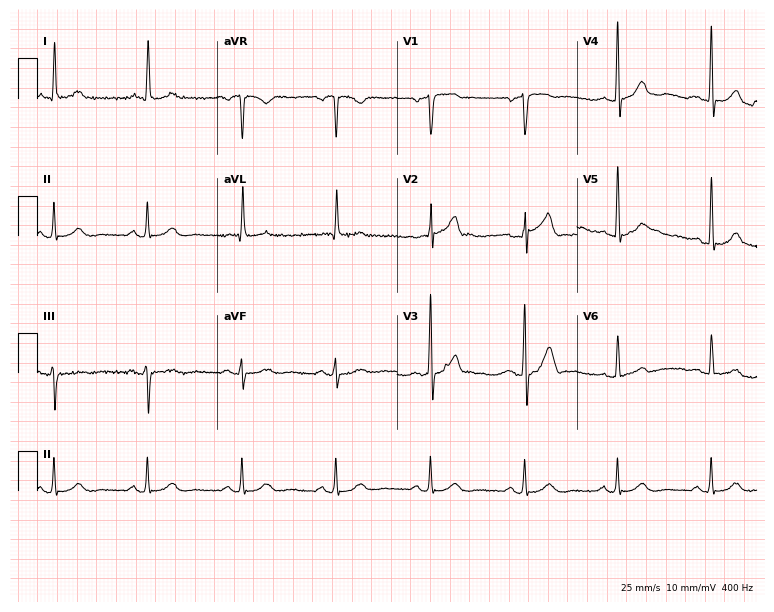
Electrocardiogram (7.3-second recording at 400 Hz), a male, 73 years old. Overall reading on record: normal ECG.